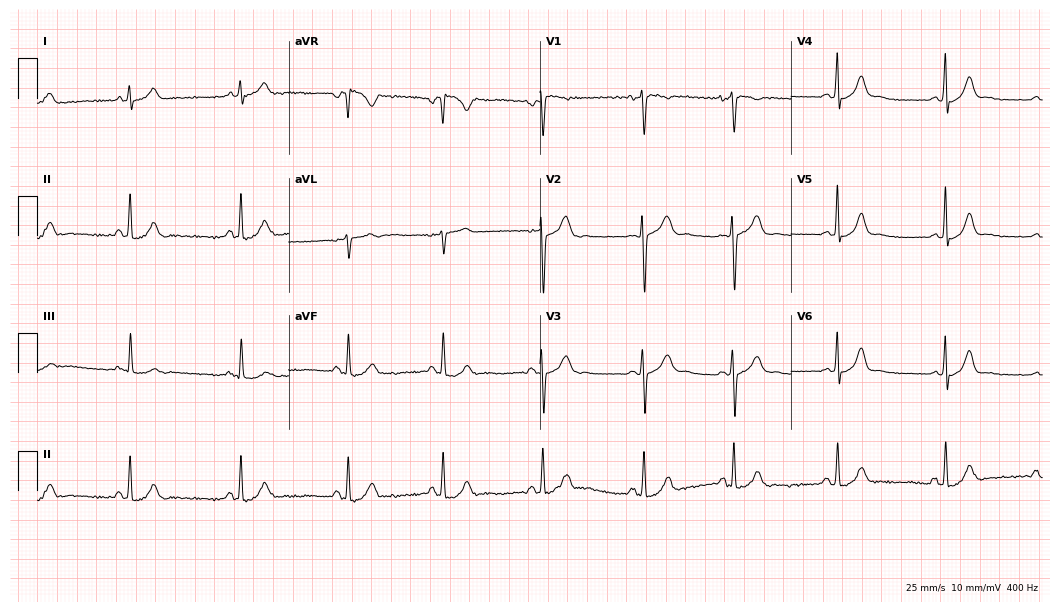
12-lead ECG from a female, 18 years old (10.2-second recording at 400 Hz). No first-degree AV block, right bundle branch block, left bundle branch block, sinus bradycardia, atrial fibrillation or sinus tachycardia recorded for this tracing.